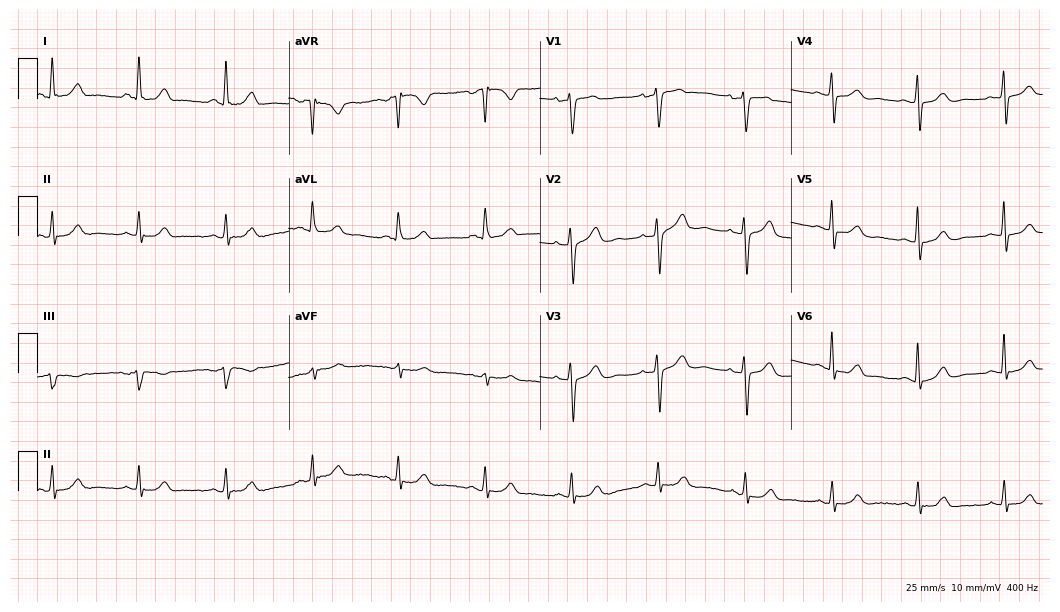
12-lead ECG (10.2-second recording at 400 Hz) from a woman, 69 years old. Labelled as a normal ECG.